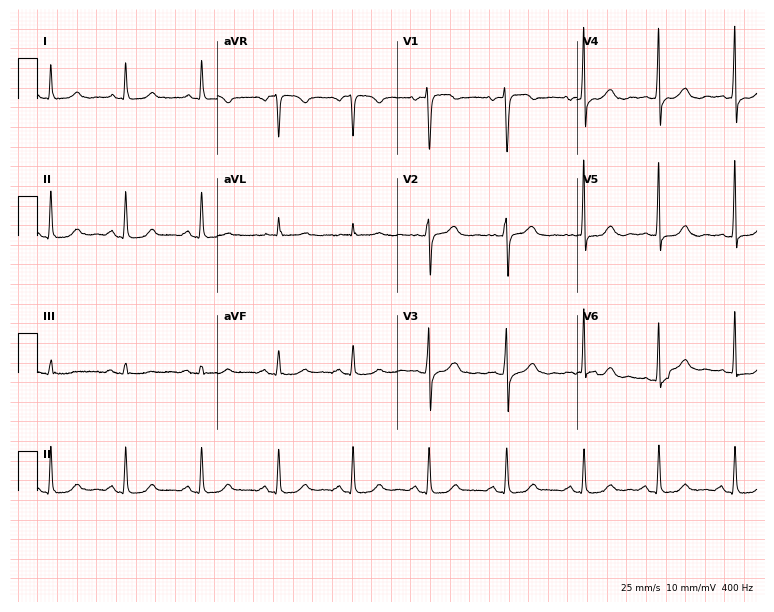
ECG — a 64-year-old woman. Labelled as a normal ECG.